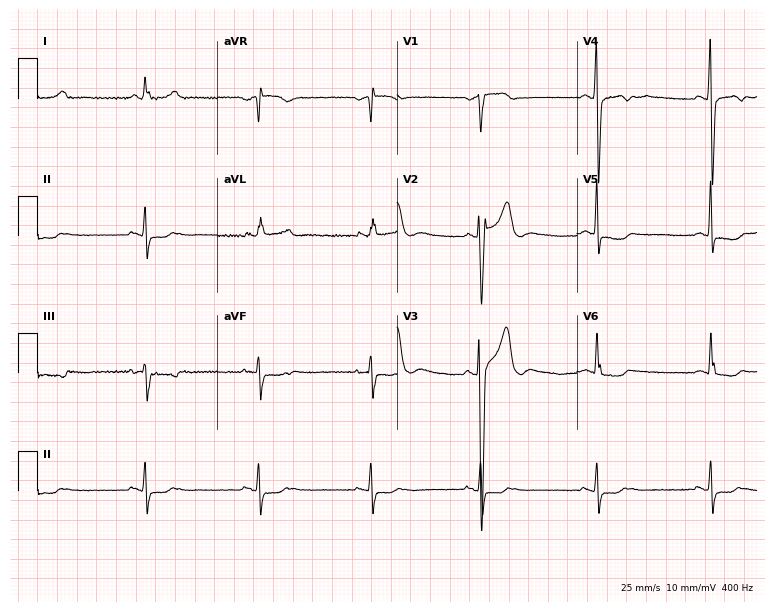
12-lead ECG from a 29-year-old male patient. No first-degree AV block, right bundle branch block, left bundle branch block, sinus bradycardia, atrial fibrillation or sinus tachycardia recorded for this tracing. Findings outside these six are not listed.